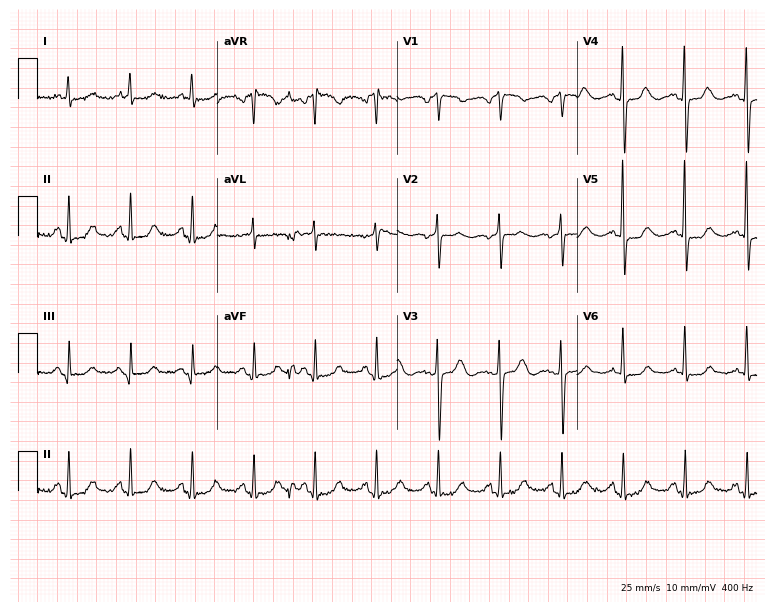
ECG — a 78-year-old female. Screened for six findings — first-degree AV block, right bundle branch block (RBBB), left bundle branch block (LBBB), sinus bradycardia, atrial fibrillation (AF), sinus tachycardia — none is recorded. Only these six findings were labelled.